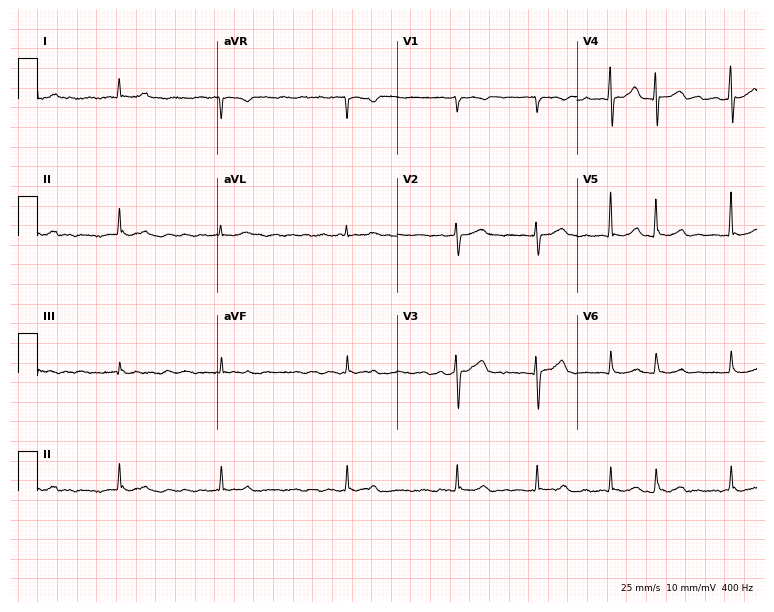
Standard 12-lead ECG recorded from a female patient, 85 years old (7.3-second recording at 400 Hz). The tracing shows atrial fibrillation (AF).